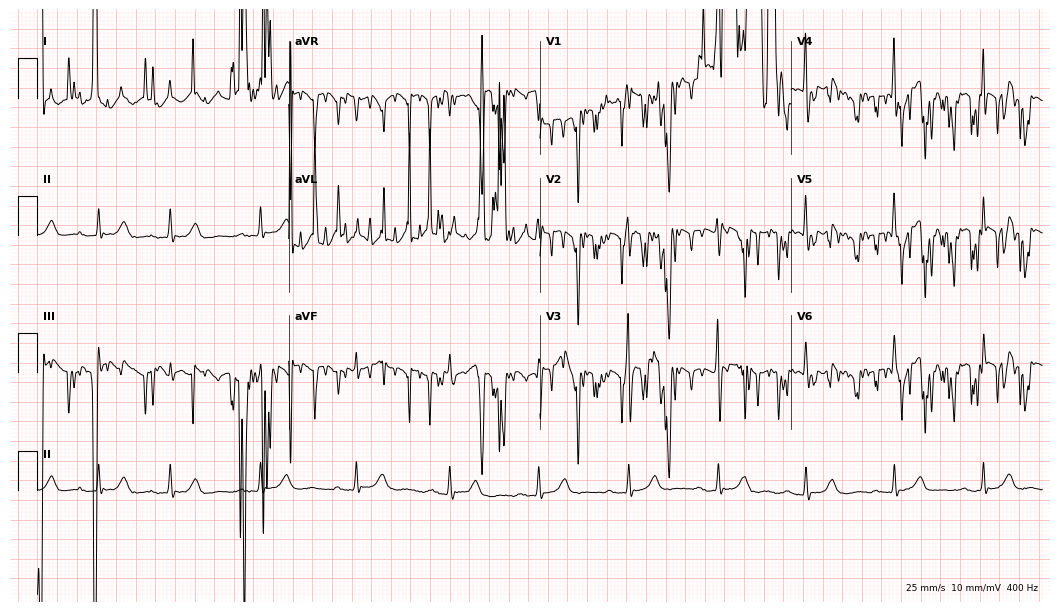
12-lead ECG from an 82-year-old male (10.2-second recording at 400 Hz). No first-degree AV block, right bundle branch block (RBBB), left bundle branch block (LBBB), sinus bradycardia, atrial fibrillation (AF) or sinus tachycardia recorded for this tracing.